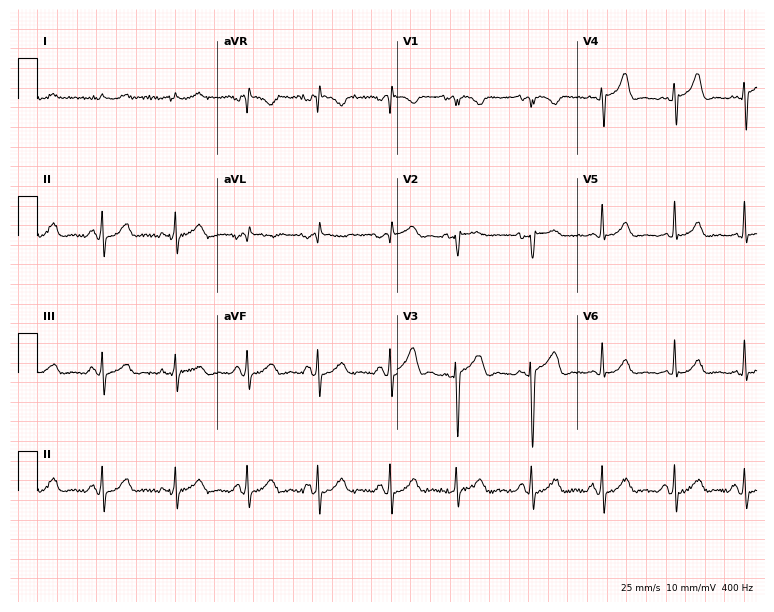
ECG — a male patient, 80 years old. Screened for six findings — first-degree AV block, right bundle branch block (RBBB), left bundle branch block (LBBB), sinus bradycardia, atrial fibrillation (AF), sinus tachycardia — none is recorded.